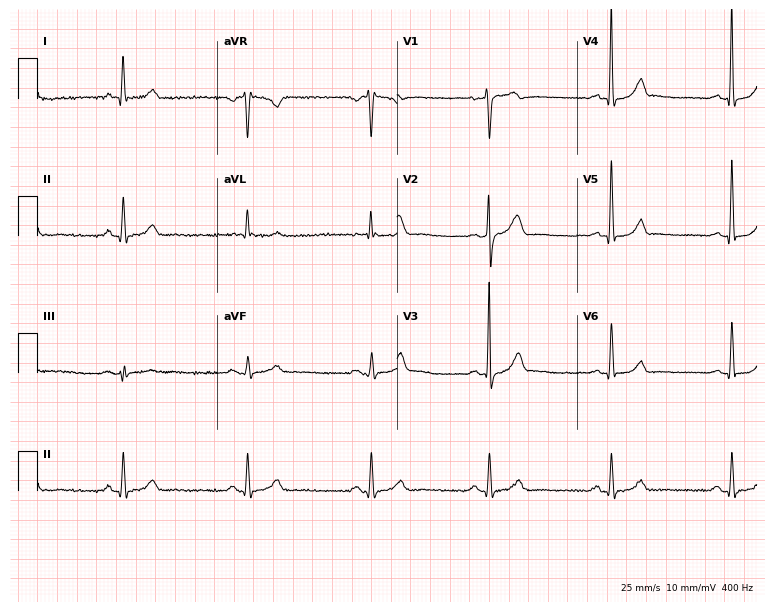
12-lead ECG from a 48-year-old man. Screened for six findings — first-degree AV block, right bundle branch block, left bundle branch block, sinus bradycardia, atrial fibrillation, sinus tachycardia — none is recorded.